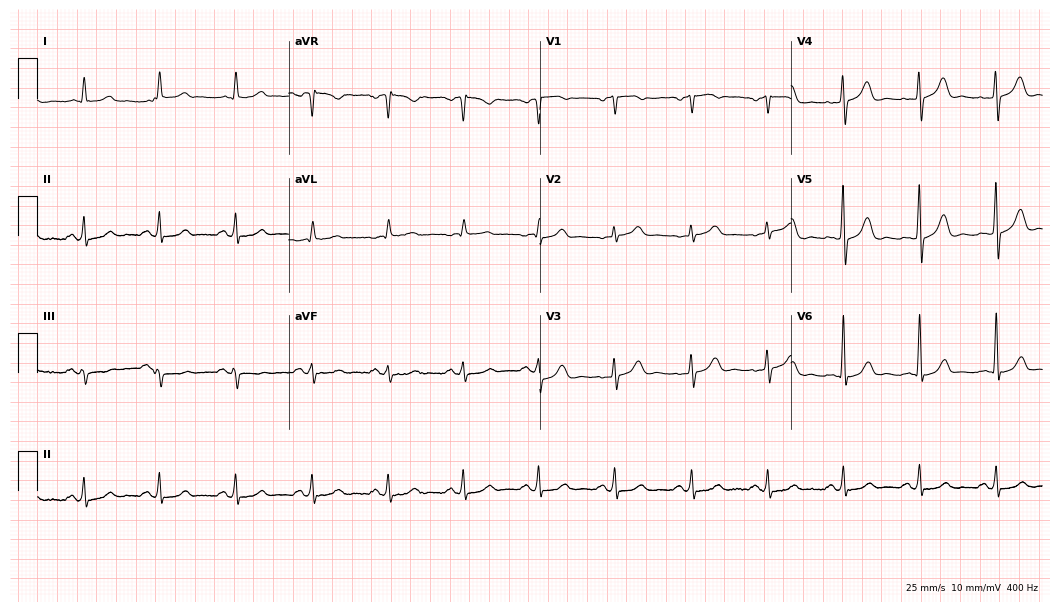
12-lead ECG from a male, 64 years old. Recorded interpretation: within normal limits.